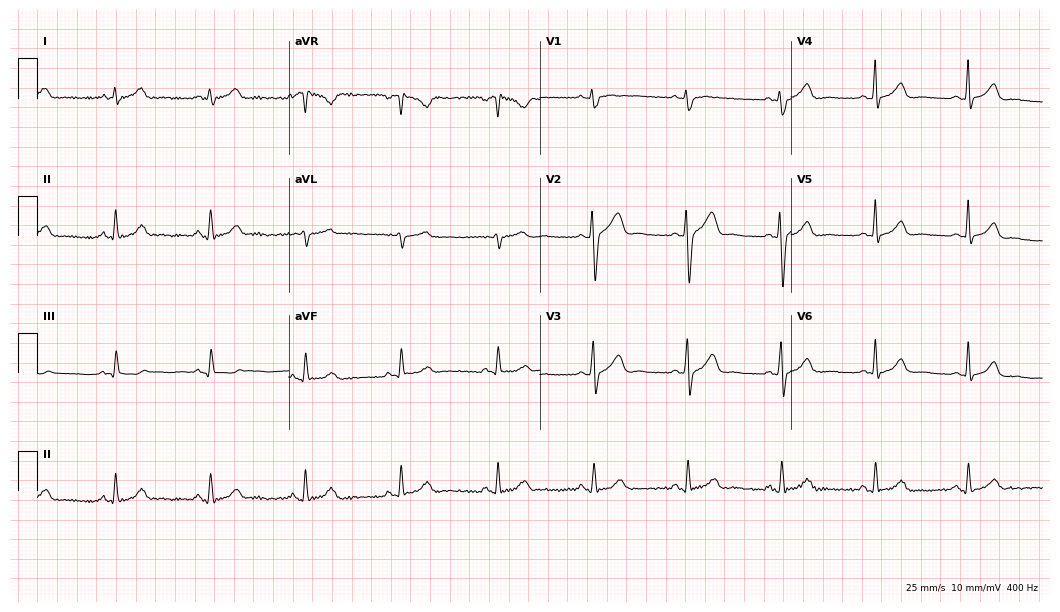
12-lead ECG (10.2-second recording at 400 Hz) from a 38-year-old male. Labelled as a normal ECG.